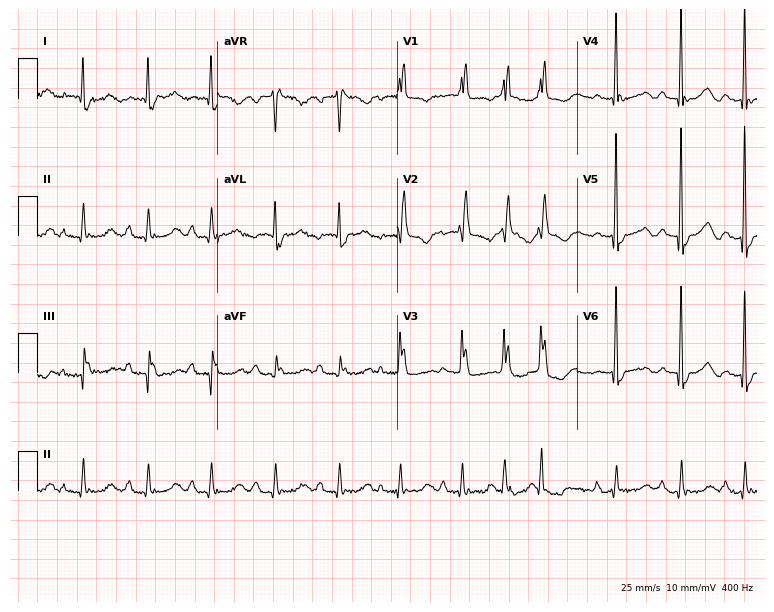
Electrocardiogram, a woman, 83 years old. Interpretation includes right bundle branch block.